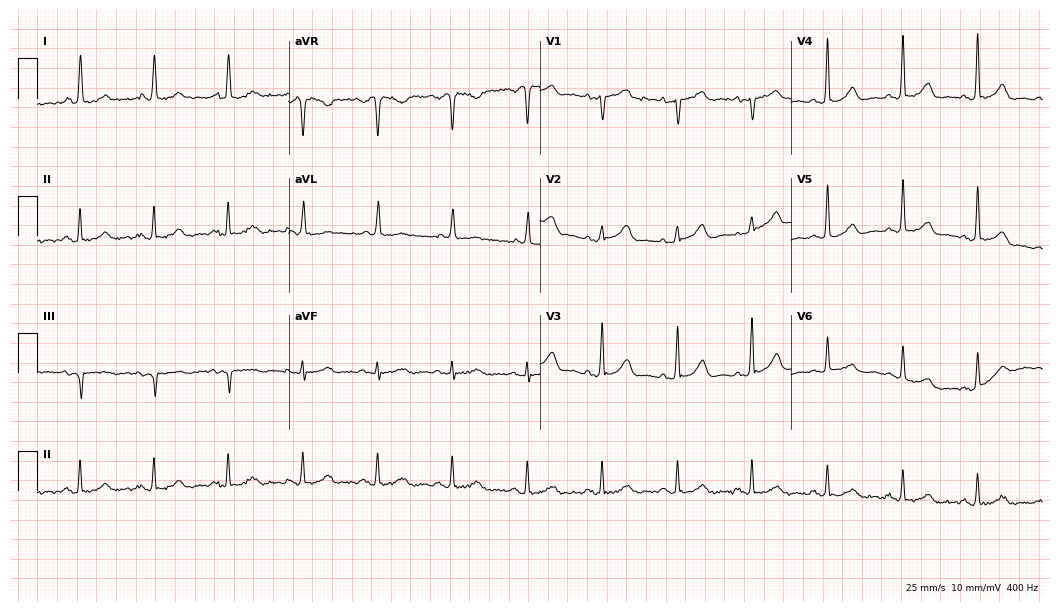
ECG — a woman, 61 years old. Labelled as a normal ECG.